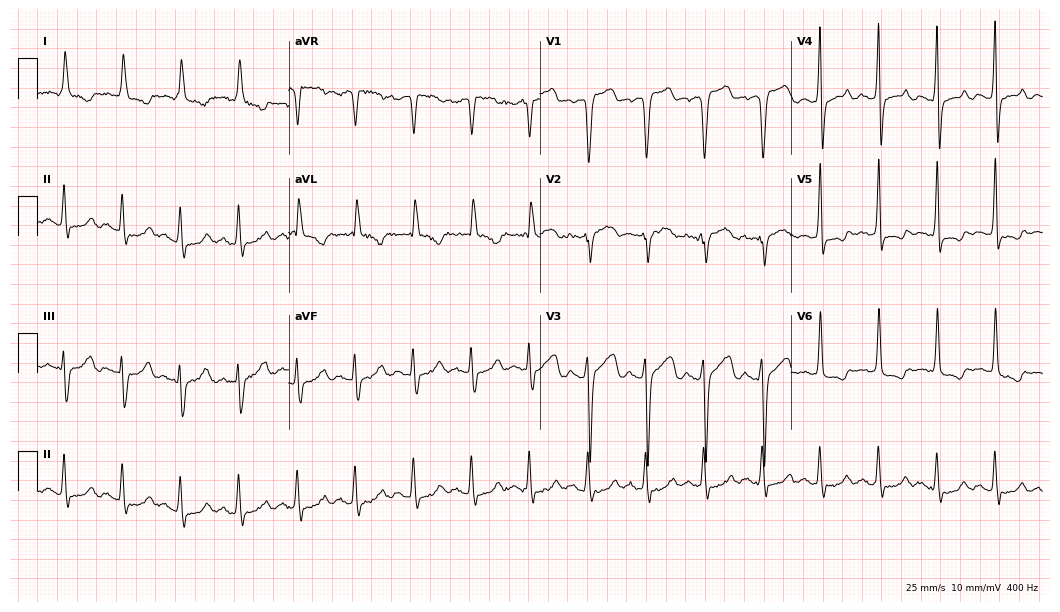
Standard 12-lead ECG recorded from a 50-year-old female (10.2-second recording at 400 Hz). The tracing shows sinus tachycardia (a sinus rate of 100 beats per minute or more).